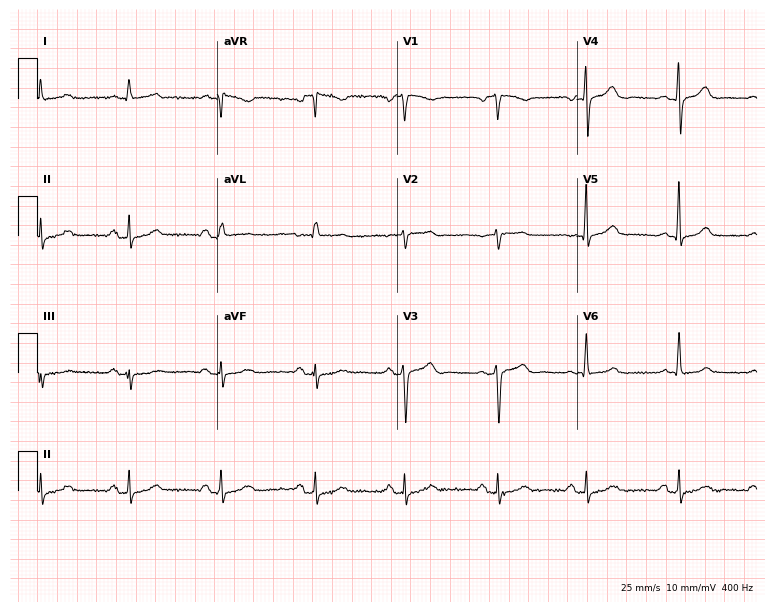
ECG — a female, 75 years old. Screened for six findings — first-degree AV block, right bundle branch block (RBBB), left bundle branch block (LBBB), sinus bradycardia, atrial fibrillation (AF), sinus tachycardia — none is recorded. Other findings, if any, are not listed.